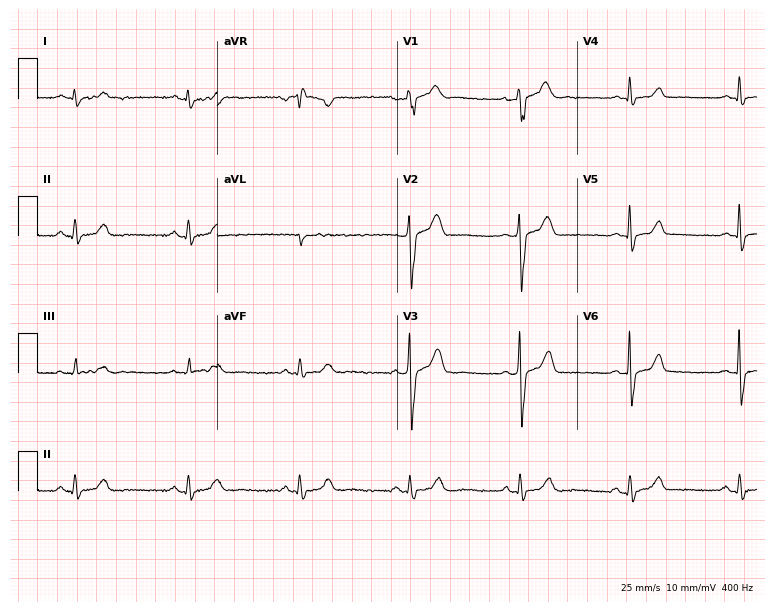
Electrocardiogram, a 48-year-old male. Overall reading on record: normal ECG.